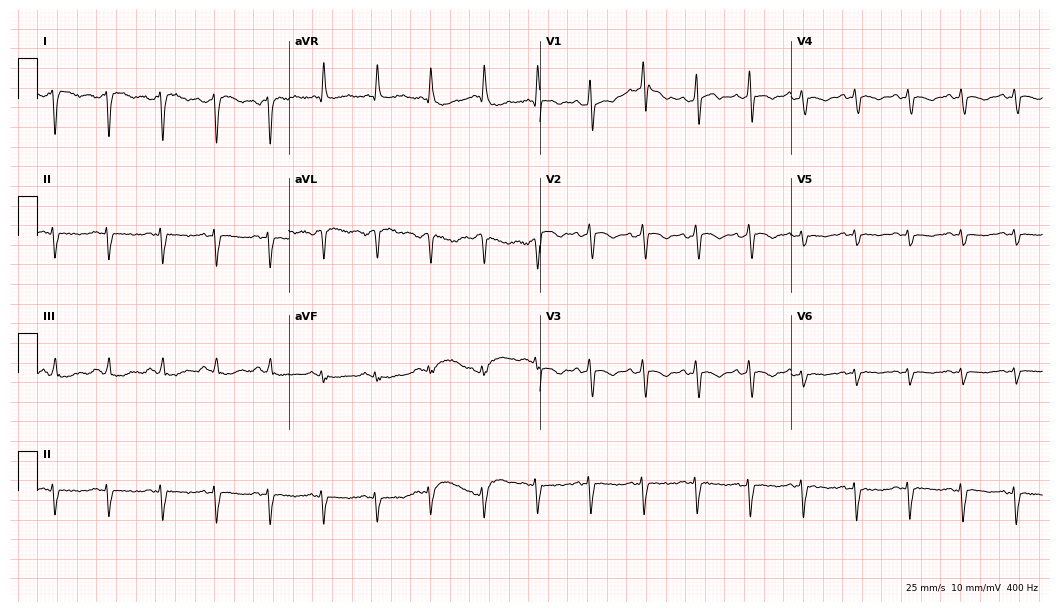
12-lead ECG from a 59-year-old female patient. No first-degree AV block, right bundle branch block (RBBB), left bundle branch block (LBBB), sinus bradycardia, atrial fibrillation (AF) or sinus tachycardia recorded for this tracing.